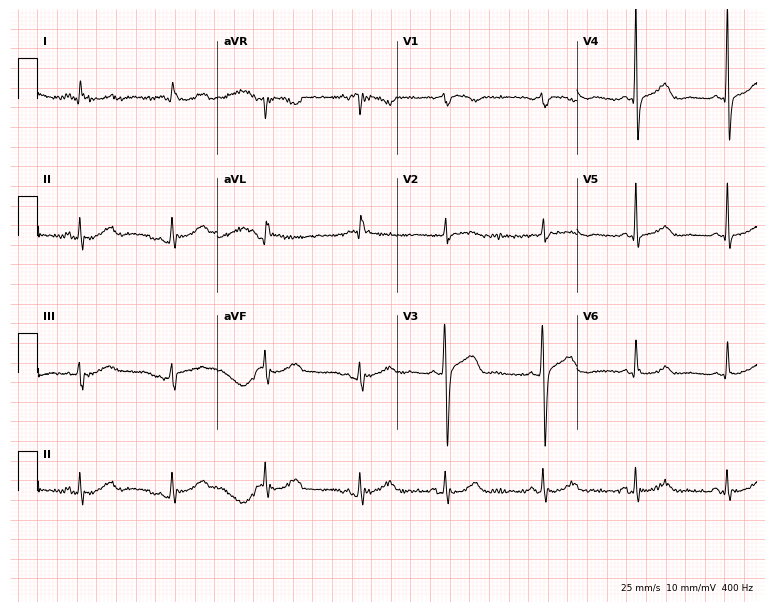
Standard 12-lead ECG recorded from a man, 76 years old. None of these six findings is recorded: first-degree AV block, right bundle branch block (RBBB), left bundle branch block (LBBB), sinus bradycardia, atrial fibrillation (AF), sinus tachycardia. Other findings, if any, are not listed.